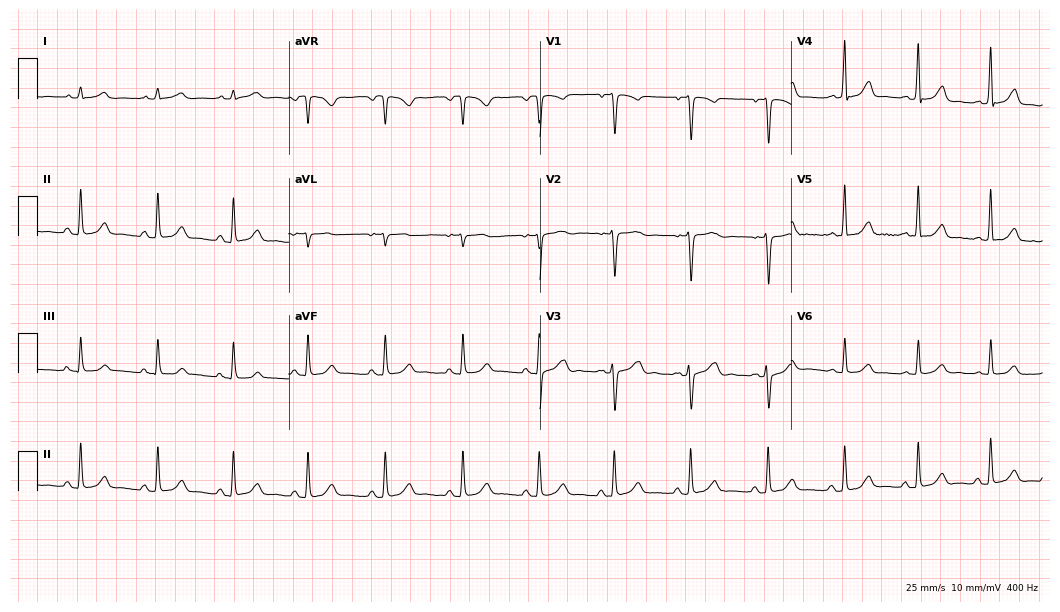
Electrocardiogram (10.2-second recording at 400 Hz), a 76-year-old male. Overall reading on record: normal ECG.